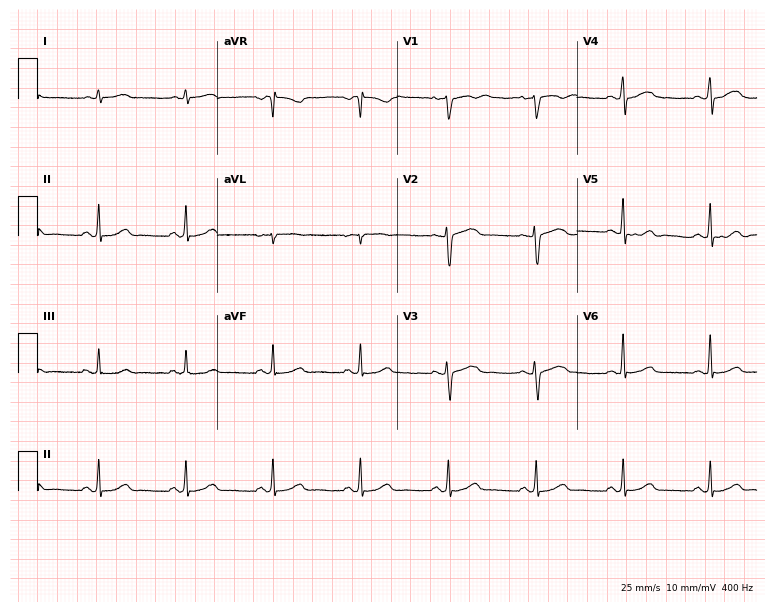
12-lead ECG from a 55-year-old woman. Labelled as a normal ECG.